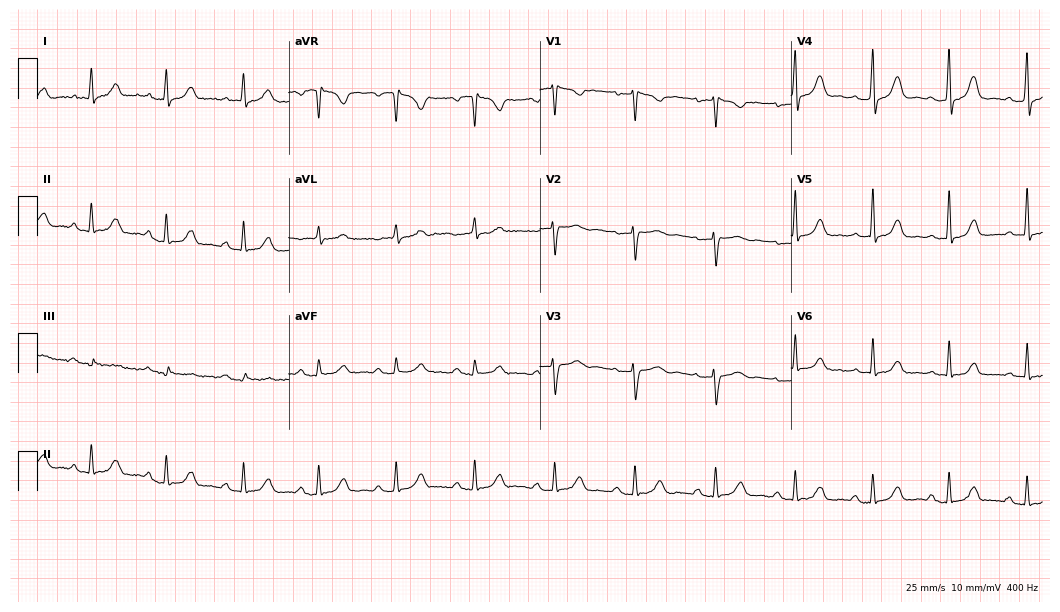
12-lead ECG from a 52-year-old female patient. Screened for six findings — first-degree AV block, right bundle branch block, left bundle branch block, sinus bradycardia, atrial fibrillation, sinus tachycardia — none is recorded.